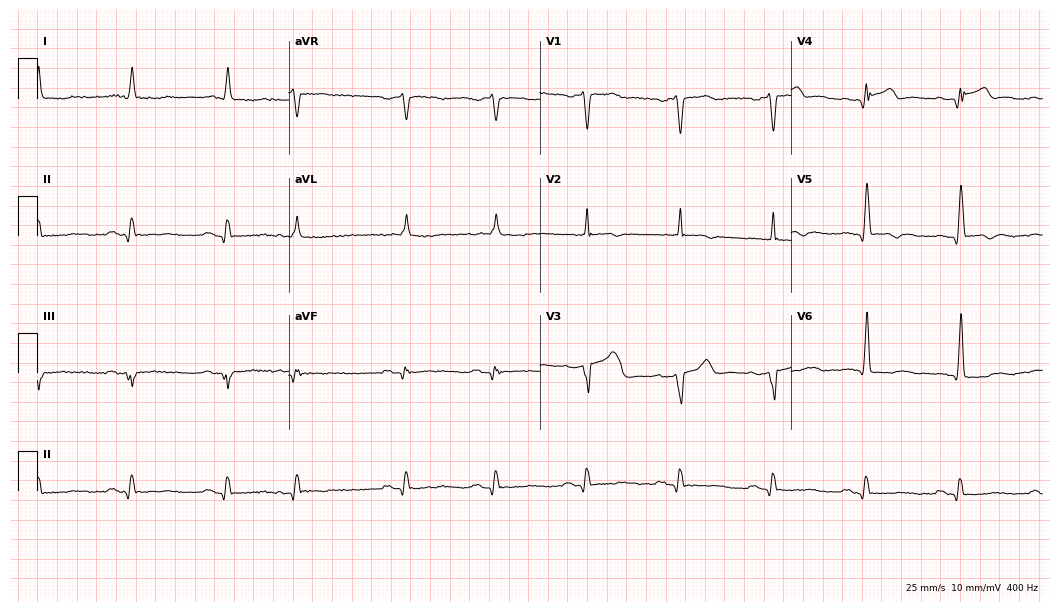
Electrocardiogram (10.2-second recording at 400 Hz), a 76-year-old male patient. Of the six screened findings (first-degree AV block, right bundle branch block (RBBB), left bundle branch block (LBBB), sinus bradycardia, atrial fibrillation (AF), sinus tachycardia), none is recorded.